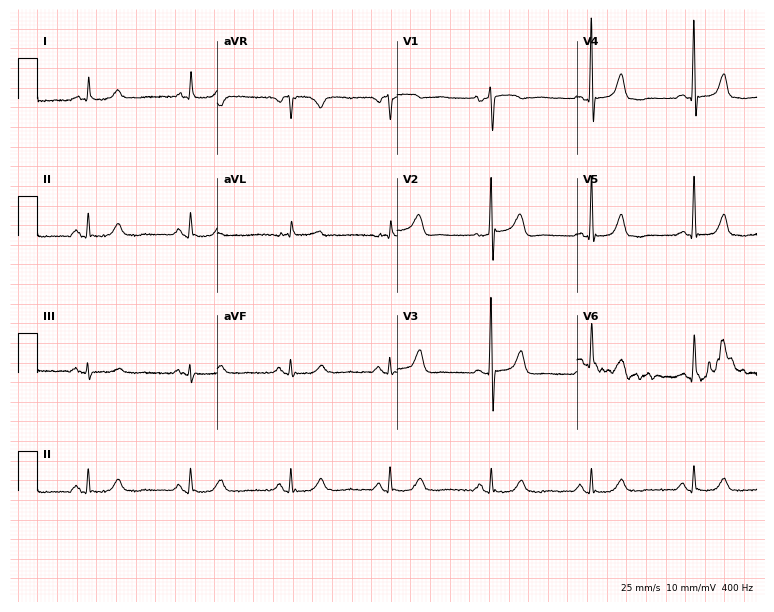
ECG (7.3-second recording at 400 Hz) — a male, 67 years old. Labelled as a normal ECG.